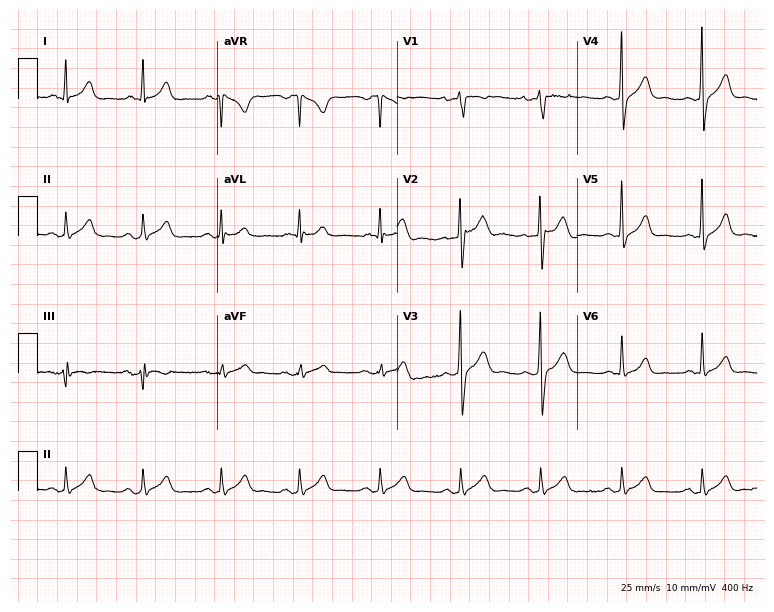
Standard 12-lead ECG recorded from a 22-year-old man (7.3-second recording at 400 Hz). Read as a normal ECG.